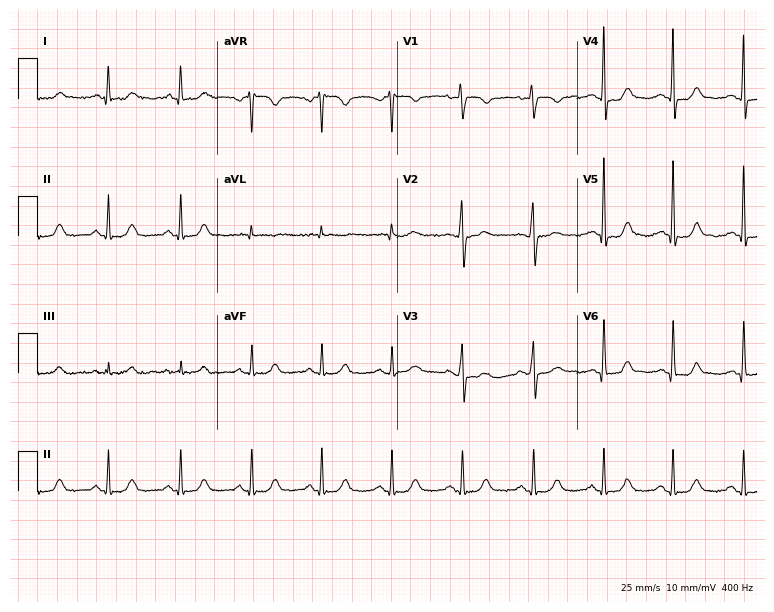
Standard 12-lead ECG recorded from a 53-year-old woman (7.3-second recording at 400 Hz). Read as a normal ECG.